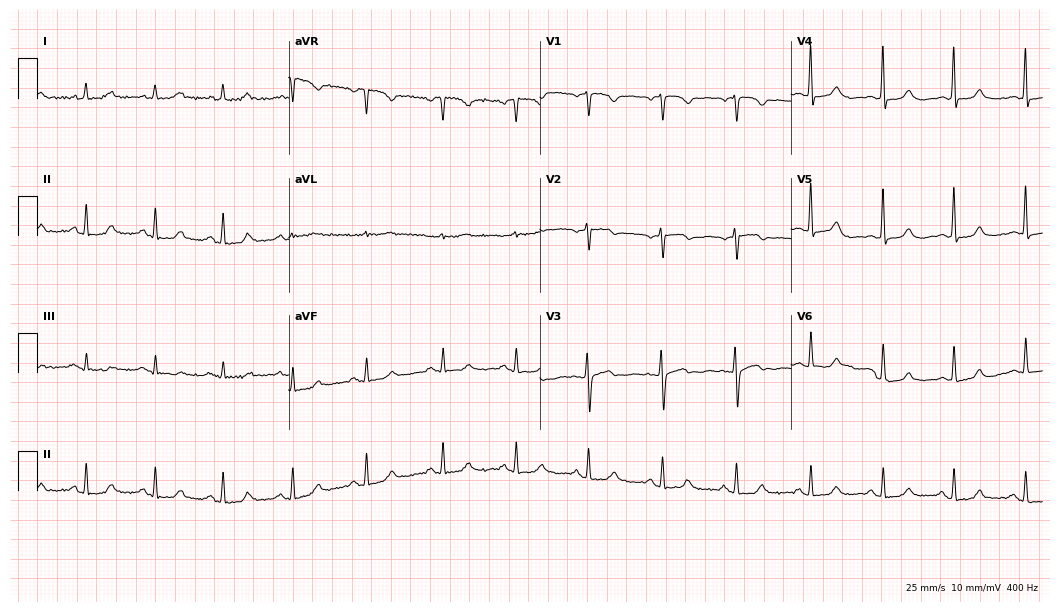
ECG (10.2-second recording at 400 Hz) — a 51-year-old female patient. Labelled as a normal ECG.